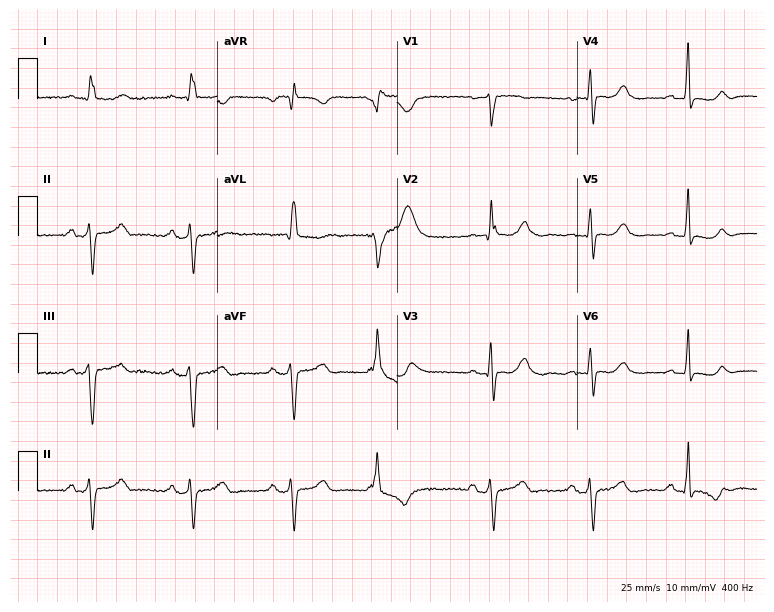
Standard 12-lead ECG recorded from a female patient, 77 years old. None of these six findings is recorded: first-degree AV block, right bundle branch block (RBBB), left bundle branch block (LBBB), sinus bradycardia, atrial fibrillation (AF), sinus tachycardia.